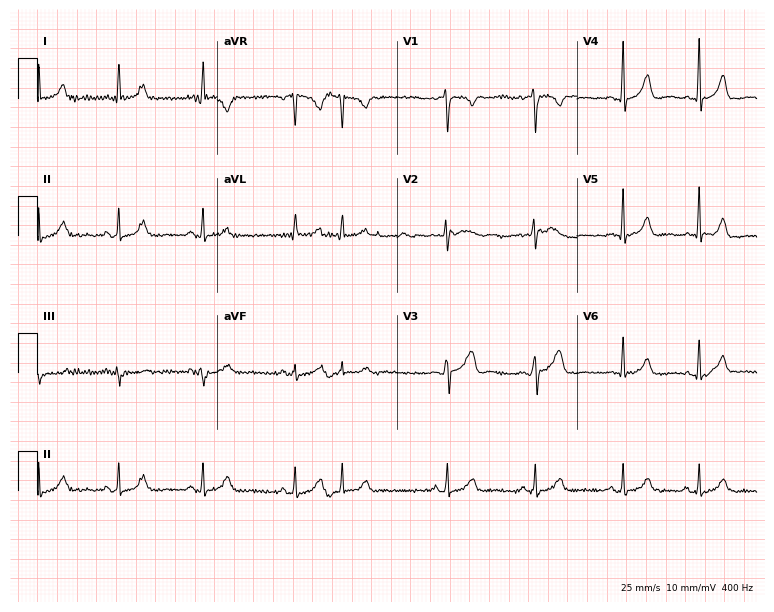
Resting 12-lead electrocardiogram. Patient: a female, 39 years old. None of these six findings is recorded: first-degree AV block, right bundle branch block, left bundle branch block, sinus bradycardia, atrial fibrillation, sinus tachycardia.